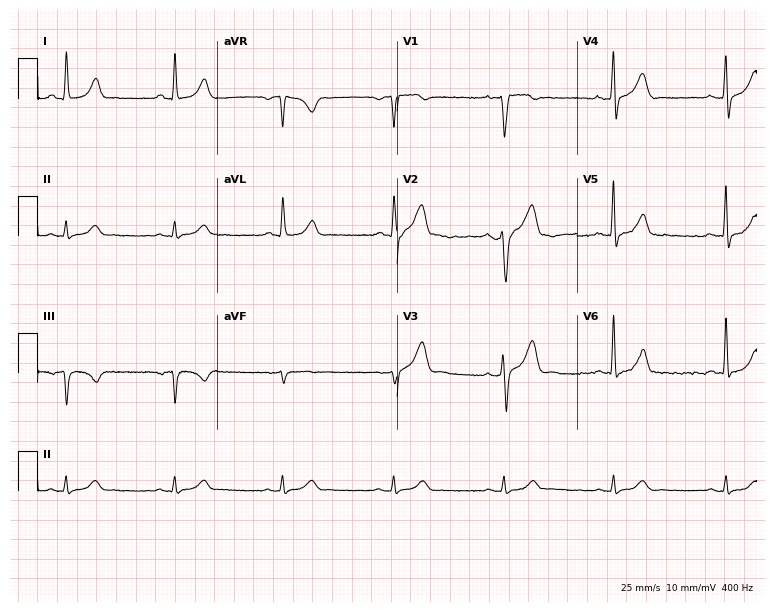
Resting 12-lead electrocardiogram. Patient: a 40-year-old male. Read as a normal ECG.